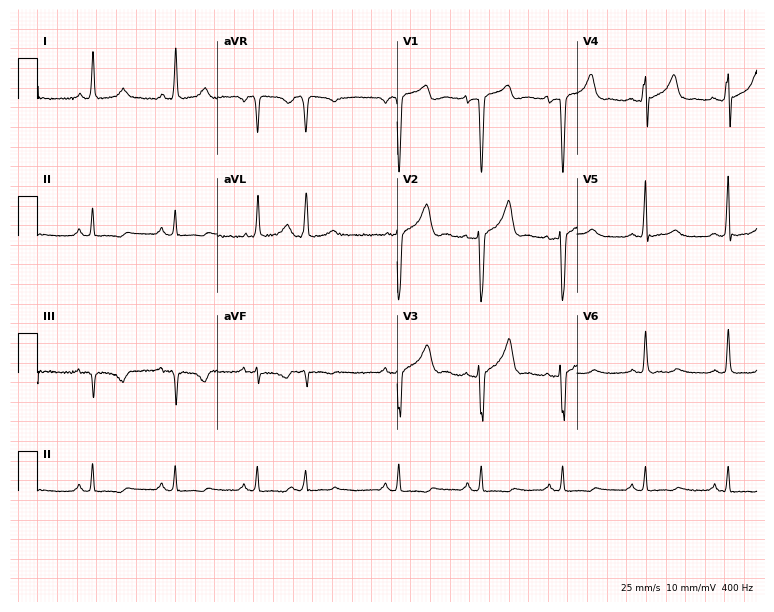
Electrocardiogram (7.3-second recording at 400 Hz), a male, 47 years old. Of the six screened findings (first-degree AV block, right bundle branch block, left bundle branch block, sinus bradycardia, atrial fibrillation, sinus tachycardia), none is recorded.